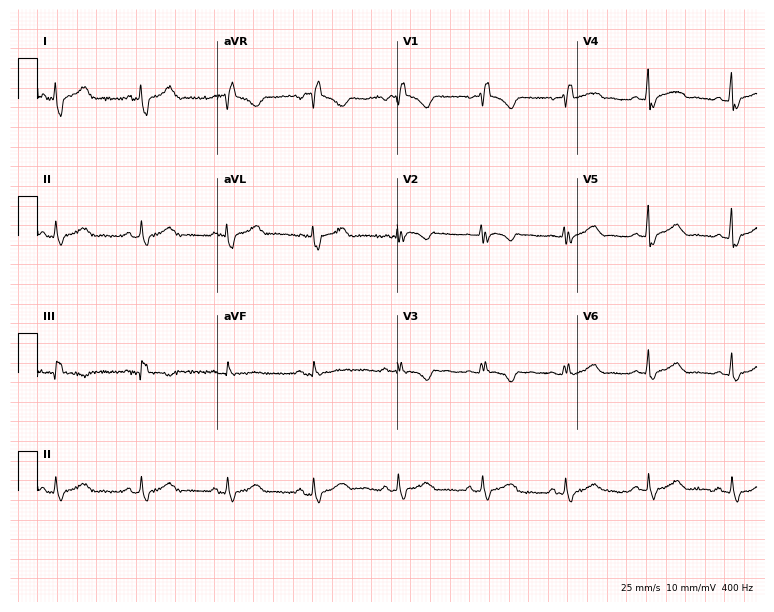
Standard 12-lead ECG recorded from a 40-year-old female. The tracing shows right bundle branch block.